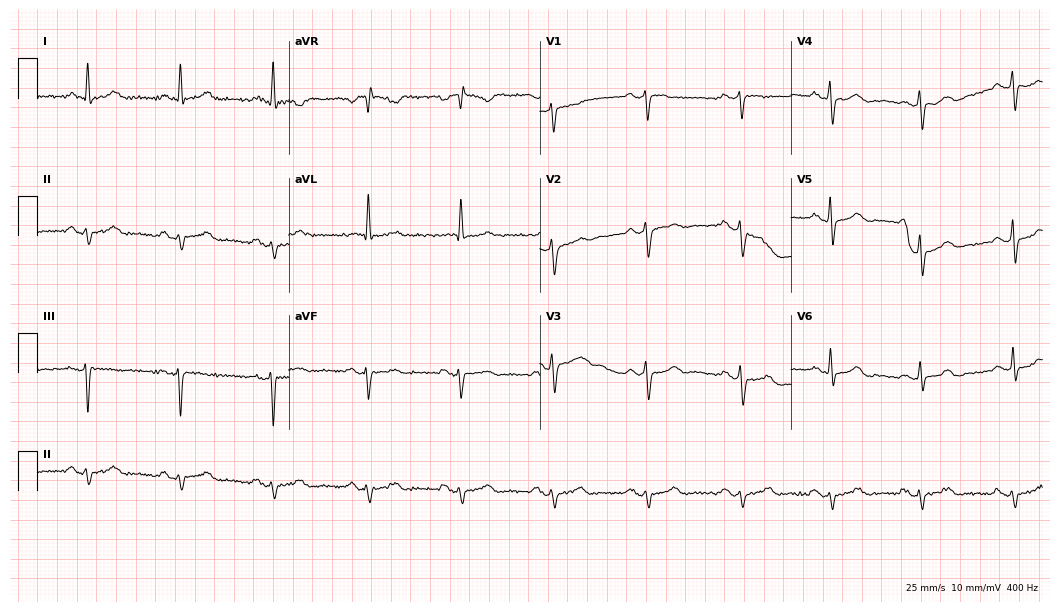
ECG — a male, 79 years old. Screened for six findings — first-degree AV block, right bundle branch block (RBBB), left bundle branch block (LBBB), sinus bradycardia, atrial fibrillation (AF), sinus tachycardia — none is recorded.